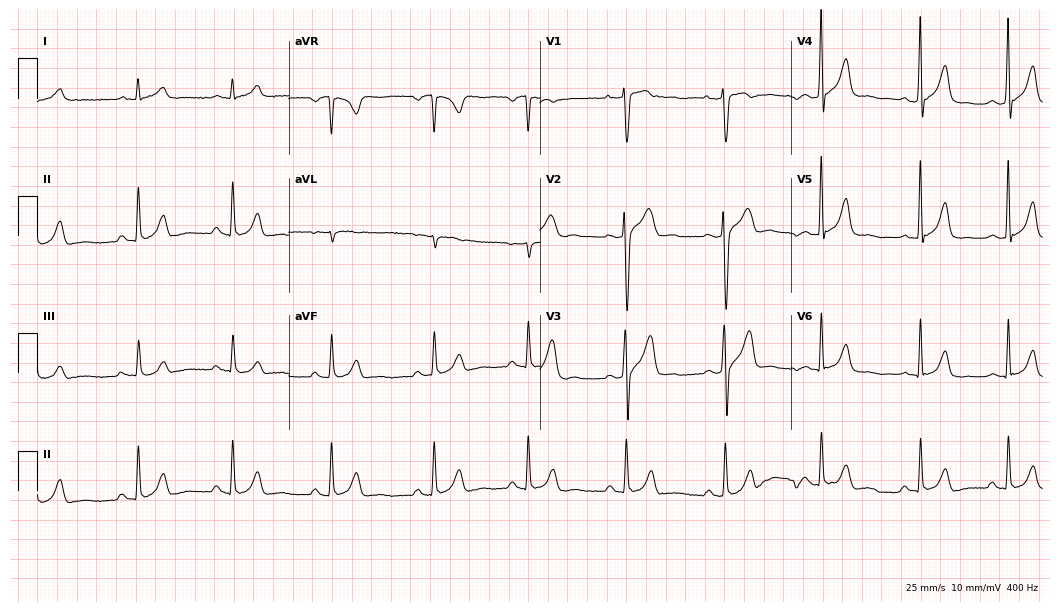
Electrocardiogram (10.2-second recording at 400 Hz), a man, 36 years old. Overall reading on record: normal ECG.